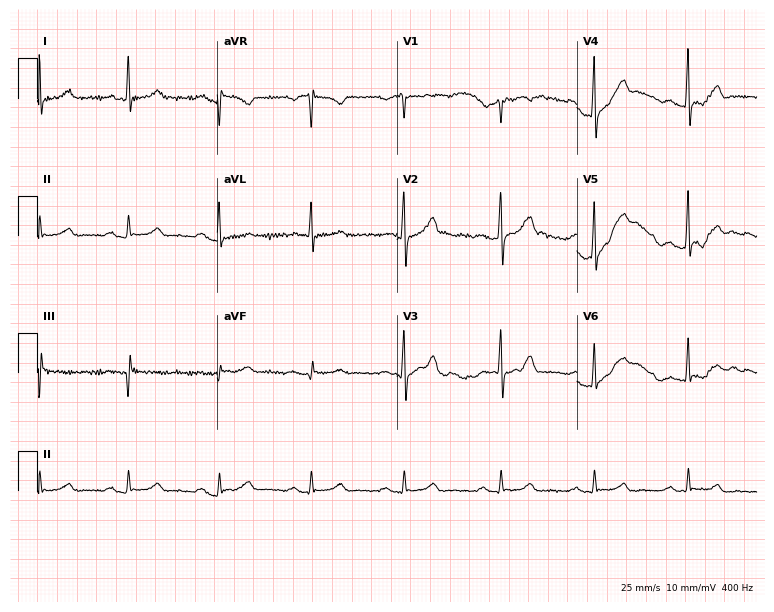
ECG (7.3-second recording at 400 Hz) — a man, 46 years old. Labelled as a normal ECG.